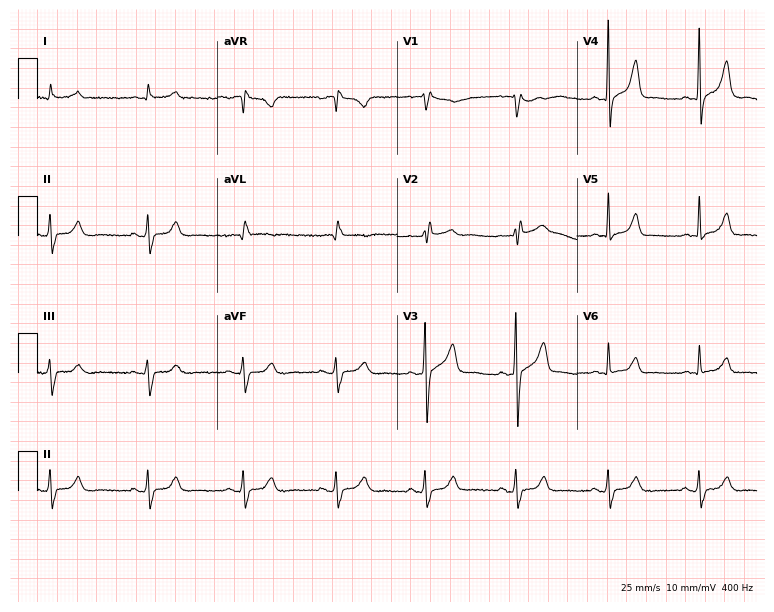
12-lead ECG from a 67-year-old man. No first-degree AV block, right bundle branch block, left bundle branch block, sinus bradycardia, atrial fibrillation or sinus tachycardia recorded for this tracing. Only these six findings were labelled.